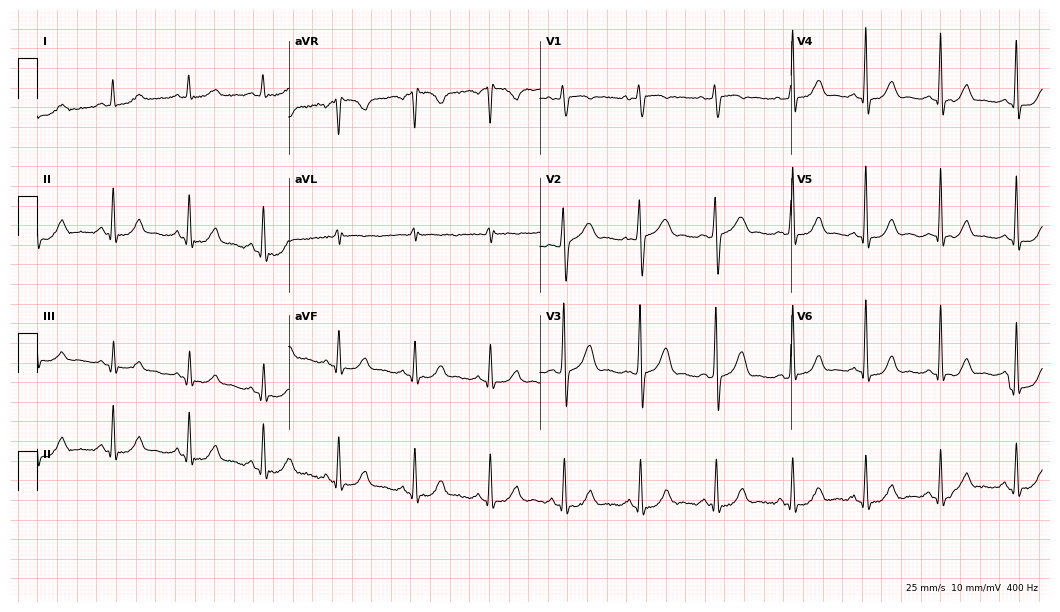
12-lead ECG from a woman, 62 years old. Recorded interpretation: within normal limits.